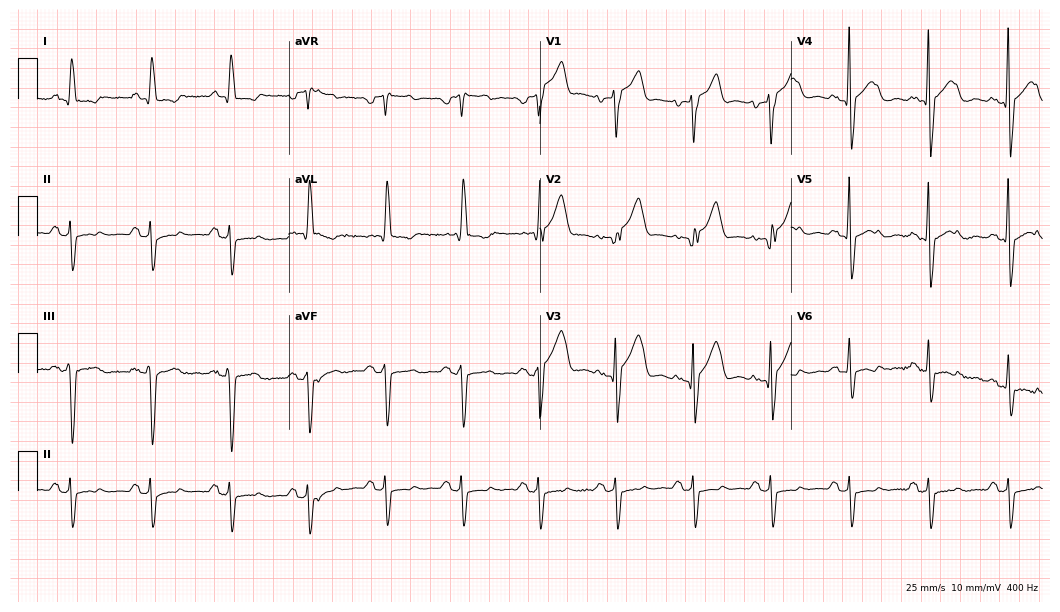
ECG (10.2-second recording at 400 Hz) — a 74-year-old male patient. Screened for six findings — first-degree AV block, right bundle branch block, left bundle branch block, sinus bradycardia, atrial fibrillation, sinus tachycardia — none is recorded.